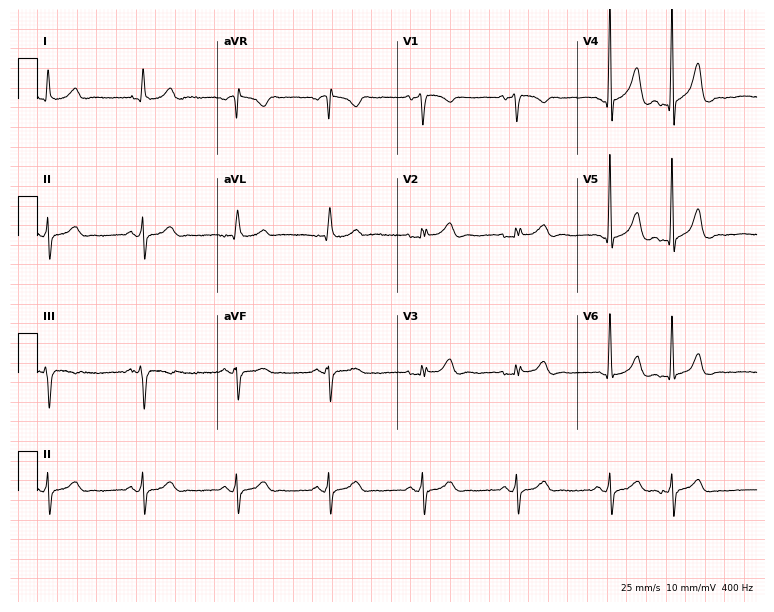
Standard 12-lead ECG recorded from a 64-year-old man (7.3-second recording at 400 Hz). None of these six findings is recorded: first-degree AV block, right bundle branch block, left bundle branch block, sinus bradycardia, atrial fibrillation, sinus tachycardia. Only these six findings were labelled.